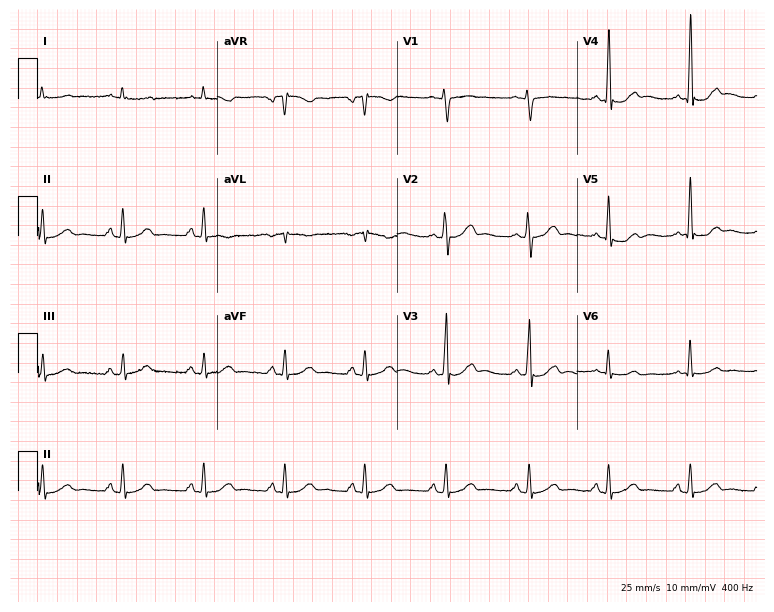
12-lead ECG from a 52-year-old male patient (7.3-second recording at 400 Hz). No first-degree AV block, right bundle branch block (RBBB), left bundle branch block (LBBB), sinus bradycardia, atrial fibrillation (AF) or sinus tachycardia recorded for this tracing.